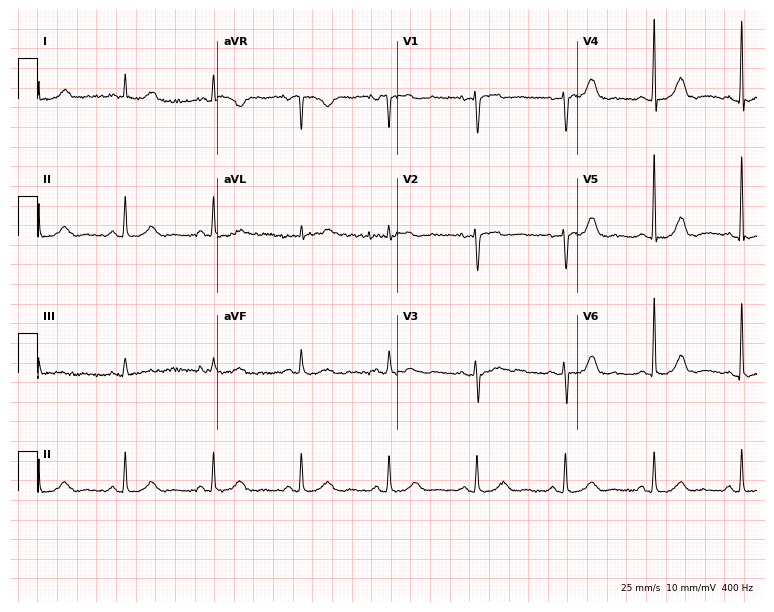
Resting 12-lead electrocardiogram (7.3-second recording at 400 Hz). Patient: a female, 52 years old. Read as a normal ECG.